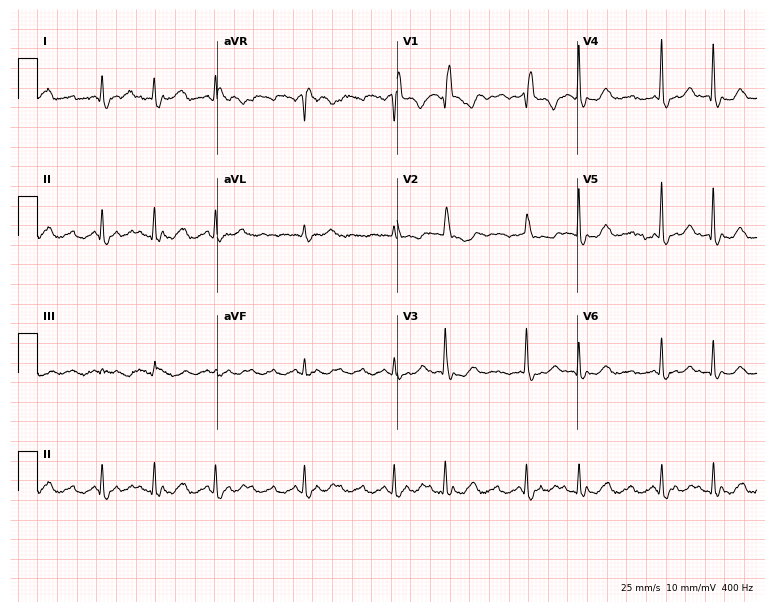
ECG (7.3-second recording at 400 Hz) — a woman, 76 years old. Findings include right bundle branch block, atrial fibrillation.